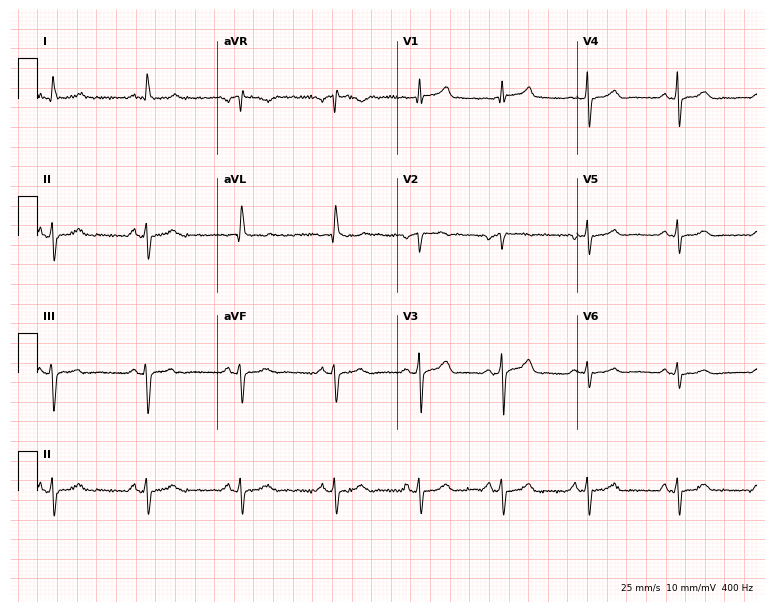
Electrocardiogram, a 49-year-old male. Of the six screened findings (first-degree AV block, right bundle branch block (RBBB), left bundle branch block (LBBB), sinus bradycardia, atrial fibrillation (AF), sinus tachycardia), none is recorded.